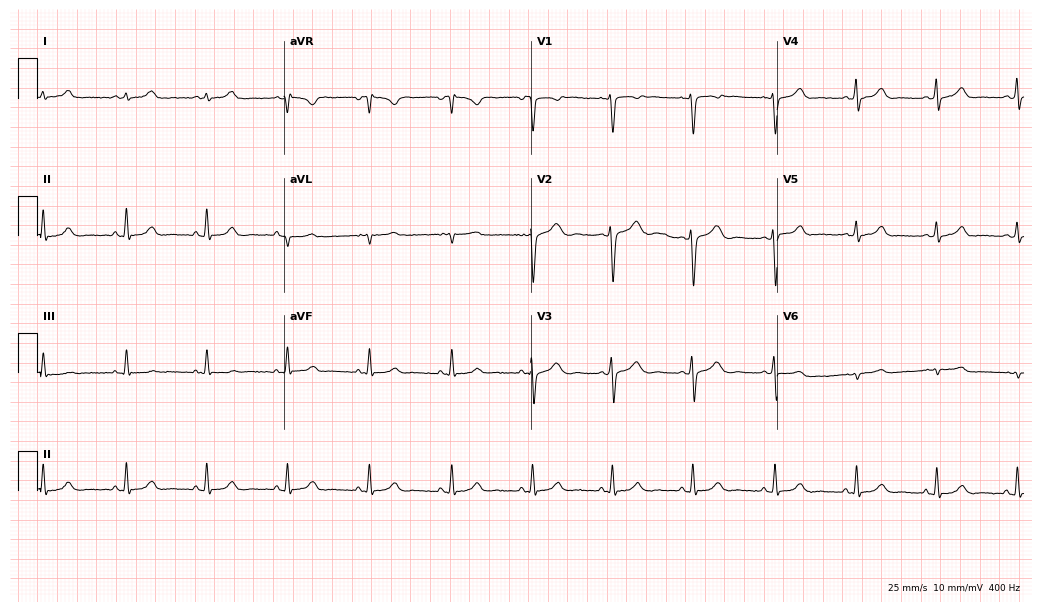
12-lead ECG (10.1-second recording at 400 Hz) from a 38-year-old woman. Labelled as a normal ECG.